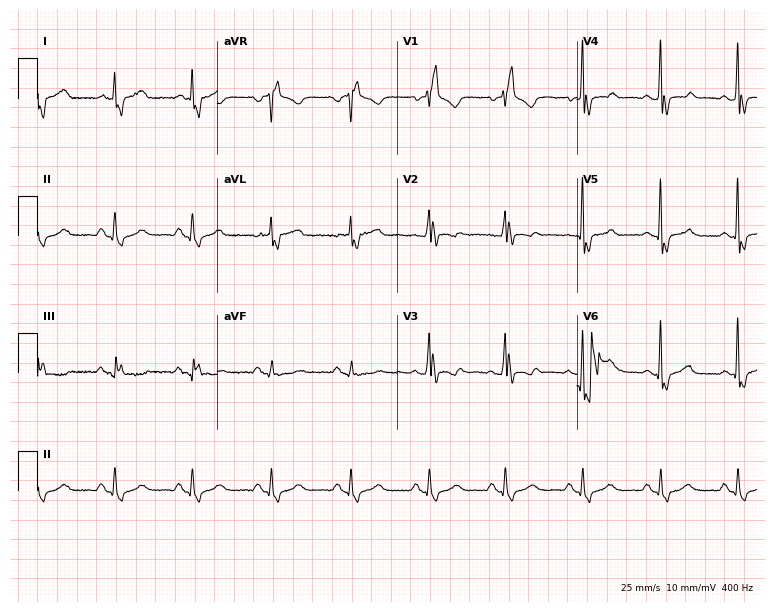
12-lead ECG from a female patient, 54 years old (7.3-second recording at 400 Hz). Shows right bundle branch block.